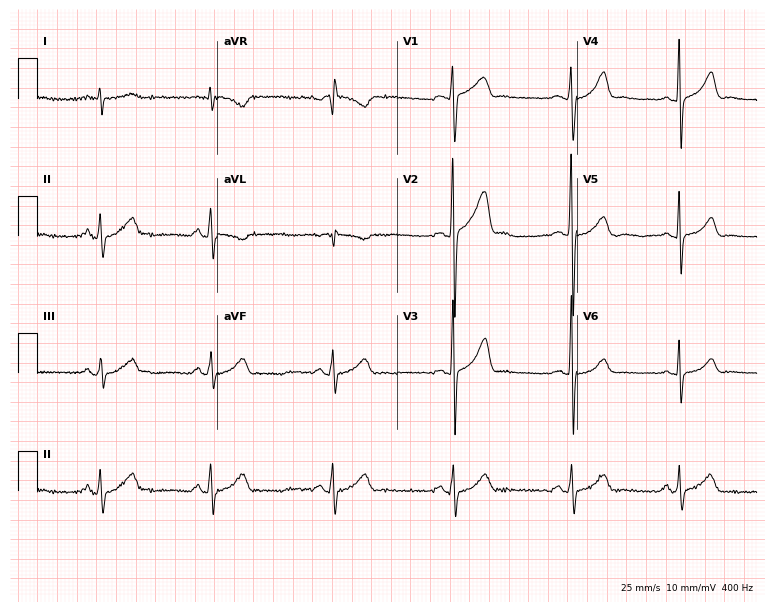
Standard 12-lead ECG recorded from a male patient, 28 years old. None of these six findings is recorded: first-degree AV block, right bundle branch block, left bundle branch block, sinus bradycardia, atrial fibrillation, sinus tachycardia.